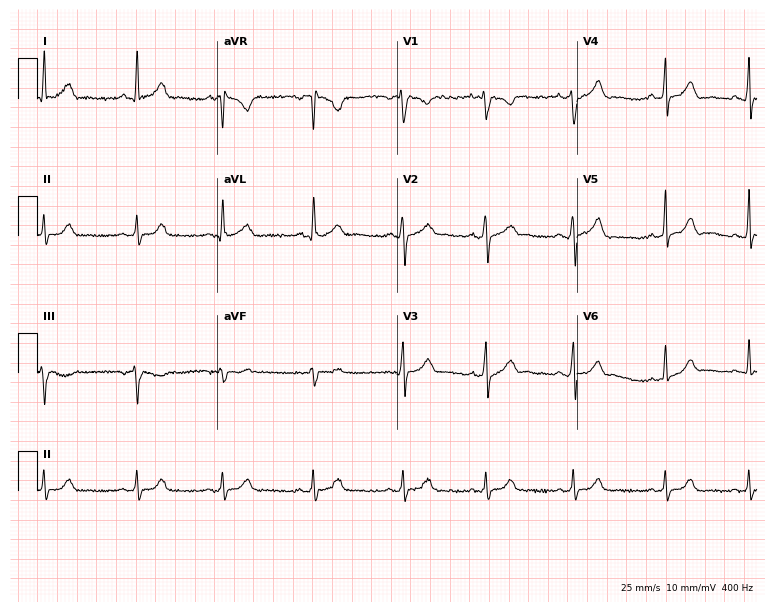
ECG (7.3-second recording at 400 Hz) — a woman, 22 years old. Screened for six findings — first-degree AV block, right bundle branch block (RBBB), left bundle branch block (LBBB), sinus bradycardia, atrial fibrillation (AF), sinus tachycardia — none is recorded.